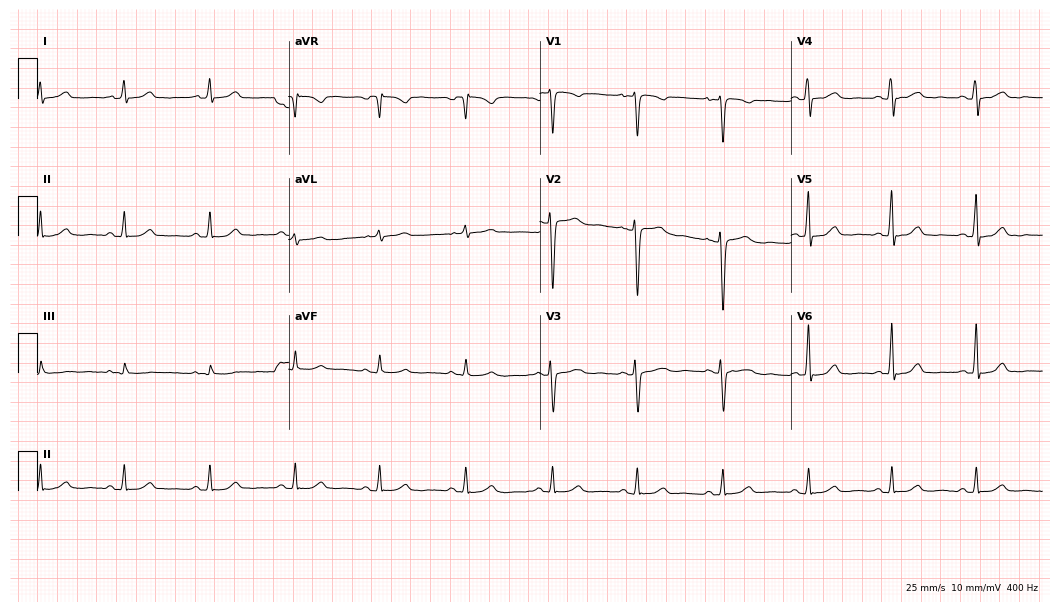
Standard 12-lead ECG recorded from a 43-year-old female patient (10.2-second recording at 400 Hz). Read as a normal ECG.